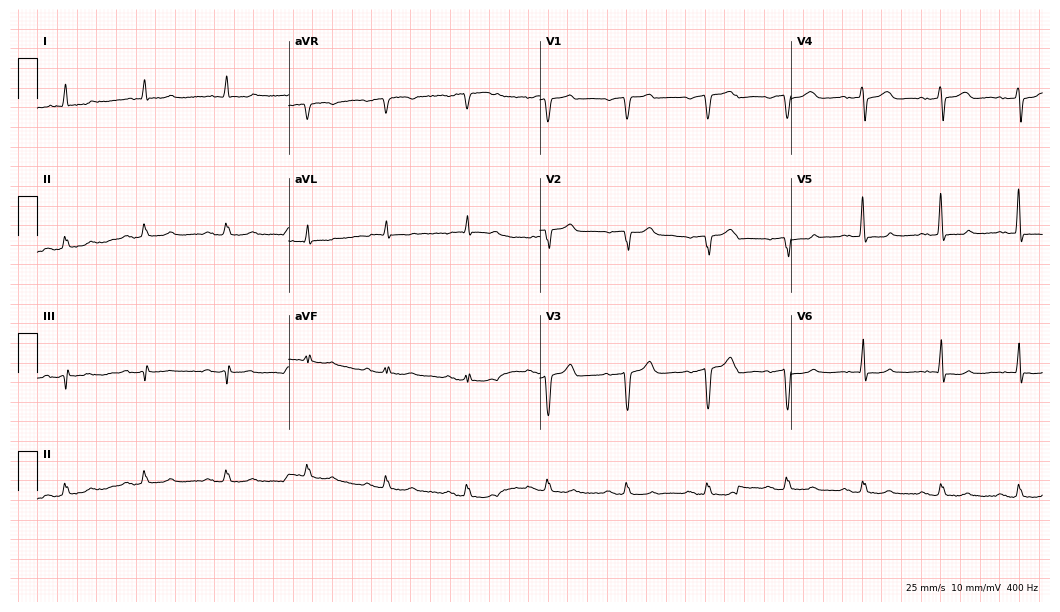
Standard 12-lead ECG recorded from an 80-year-old man. None of these six findings is recorded: first-degree AV block, right bundle branch block, left bundle branch block, sinus bradycardia, atrial fibrillation, sinus tachycardia.